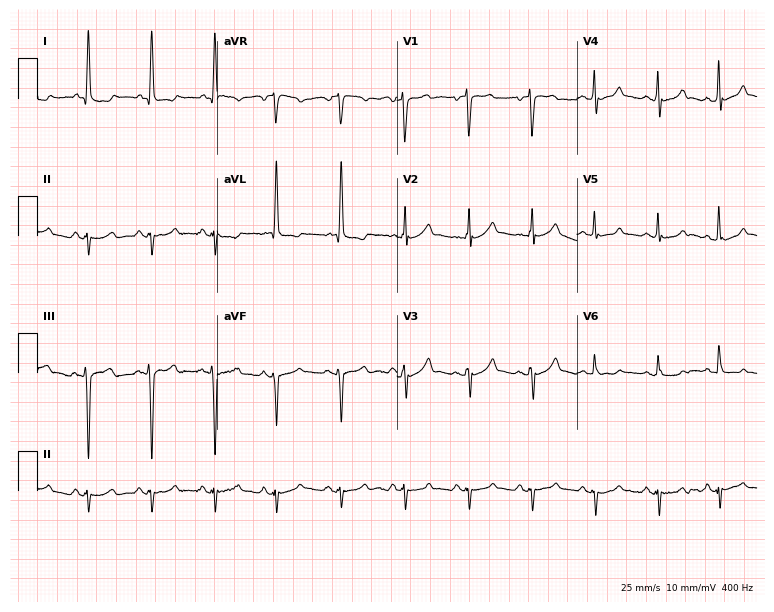
12-lead ECG from a woman, 81 years old. No first-degree AV block, right bundle branch block, left bundle branch block, sinus bradycardia, atrial fibrillation or sinus tachycardia recorded for this tracing. Only these six findings were labelled.